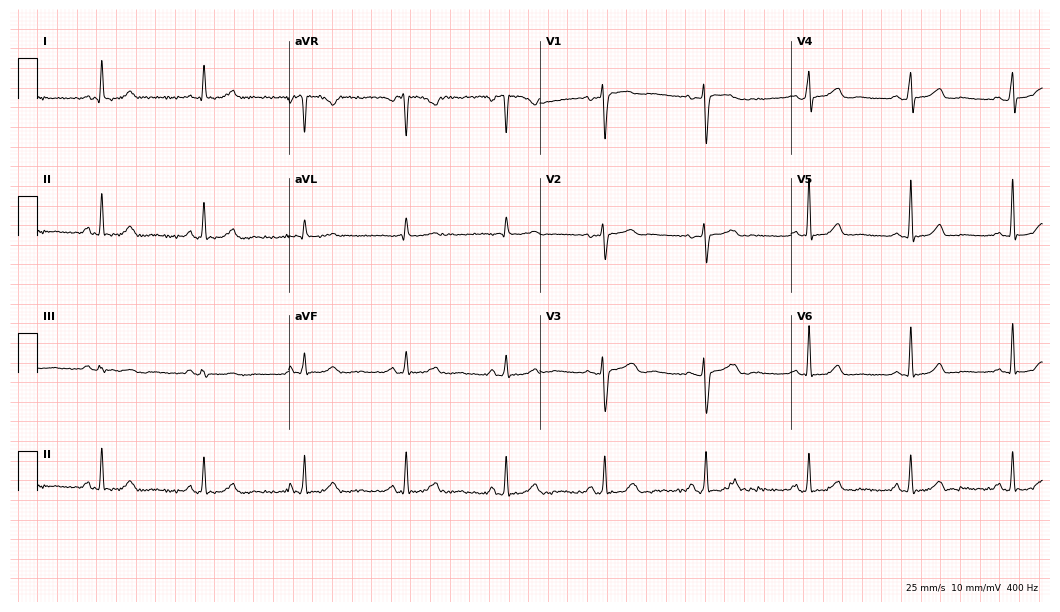
Electrocardiogram, a female patient, 58 years old. Overall reading on record: normal ECG.